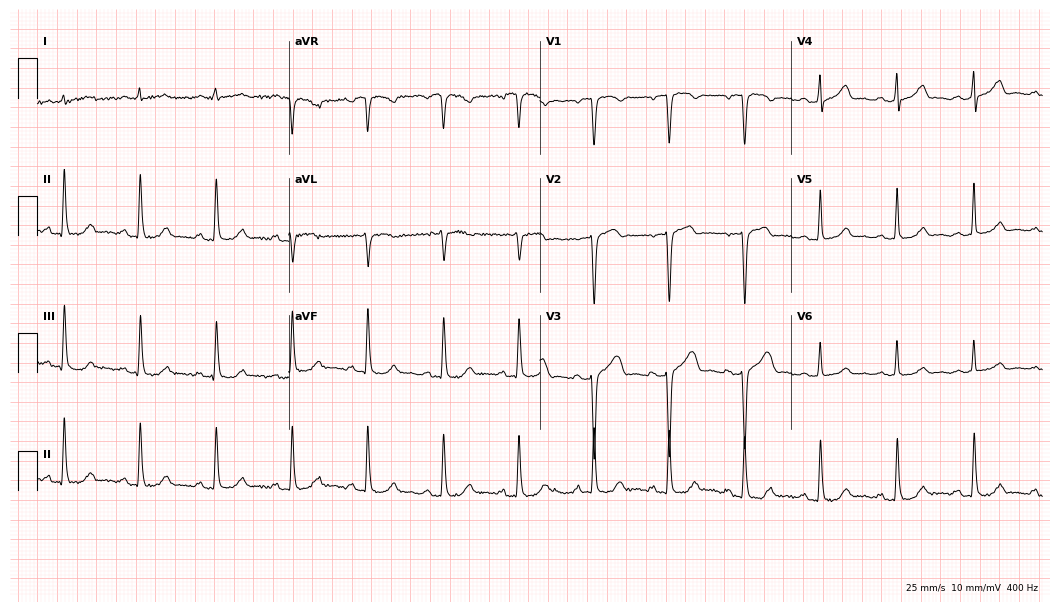
ECG — a 78-year-old woman. Labelled as a normal ECG.